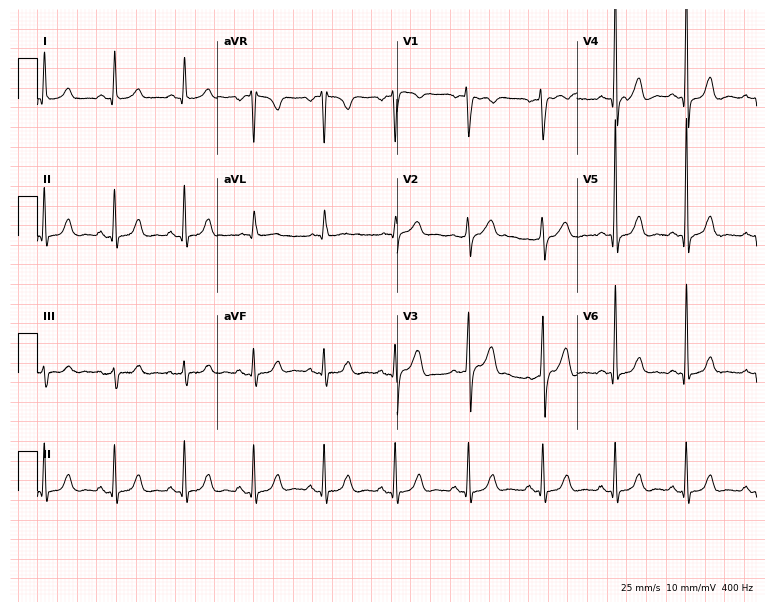
Resting 12-lead electrocardiogram (7.3-second recording at 400 Hz). Patient: a 51-year-old man. None of these six findings is recorded: first-degree AV block, right bundle branch block (RBBB), left bundle branch block (LBBB), sinus bradycardia, atrial fibrillation (AF), sinus tachycardia. Only these six findings were labelled.